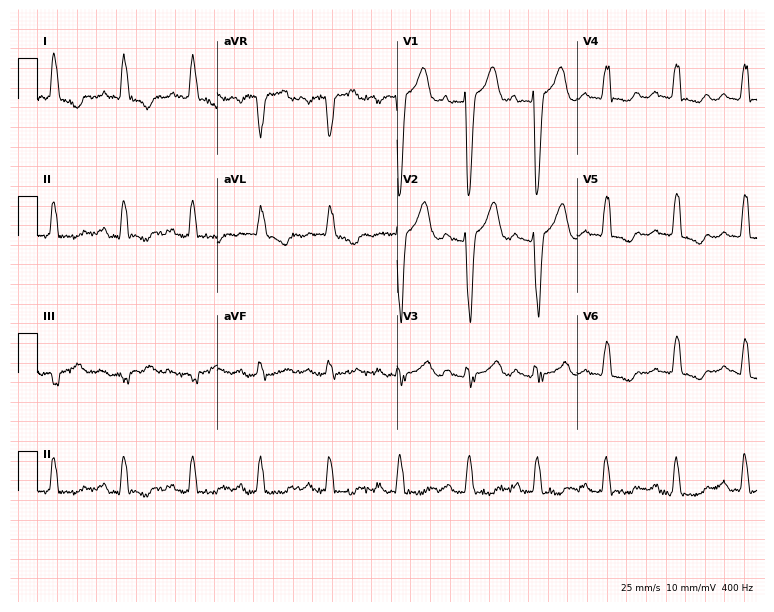
Standard 12-lead ECG recorded from an 81-year-old female. The tracing shows first-degree AV block, left bundle branch block.